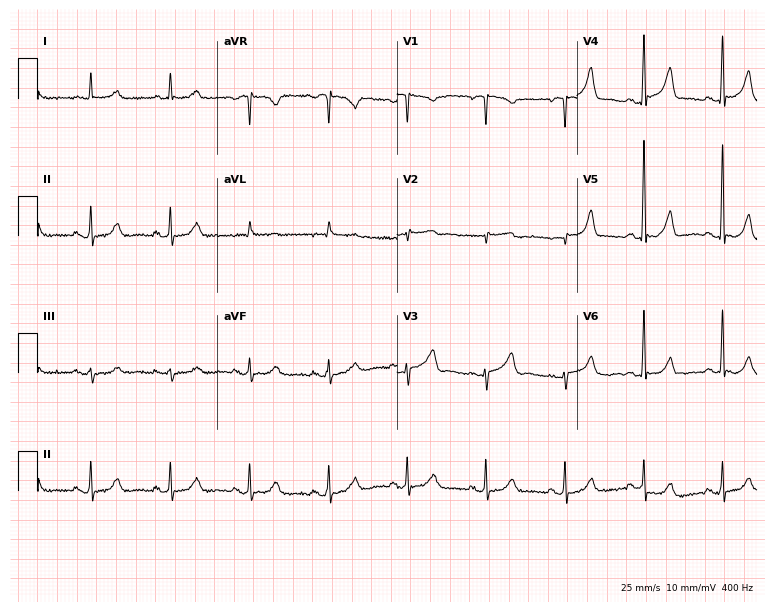
Standard 12-lead ECG recorded from a woman, 58 years old (7.3-second recording at 400 Hz). None of these six findings is recorded: first-degree AV block, right bundle branch block, left bundle branch block, sinus bradycardia, atrial fibrillation, sinus tachycardia. Findings outside these six are not listed.